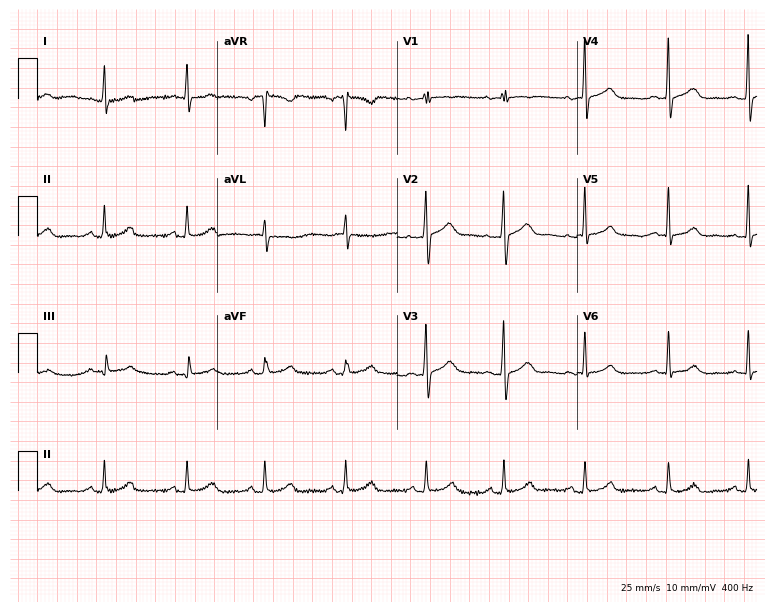
12-lead ECG (7.3-second recording at 400 Hz) from a female, 42 years old. Screened for six findings — first-degree AV block, right bundle branch block, left bundle branch block, sinus bradycardia, atrial fibrillation, sinus tachycardia — none is recorded. Only these six findings were labelled.